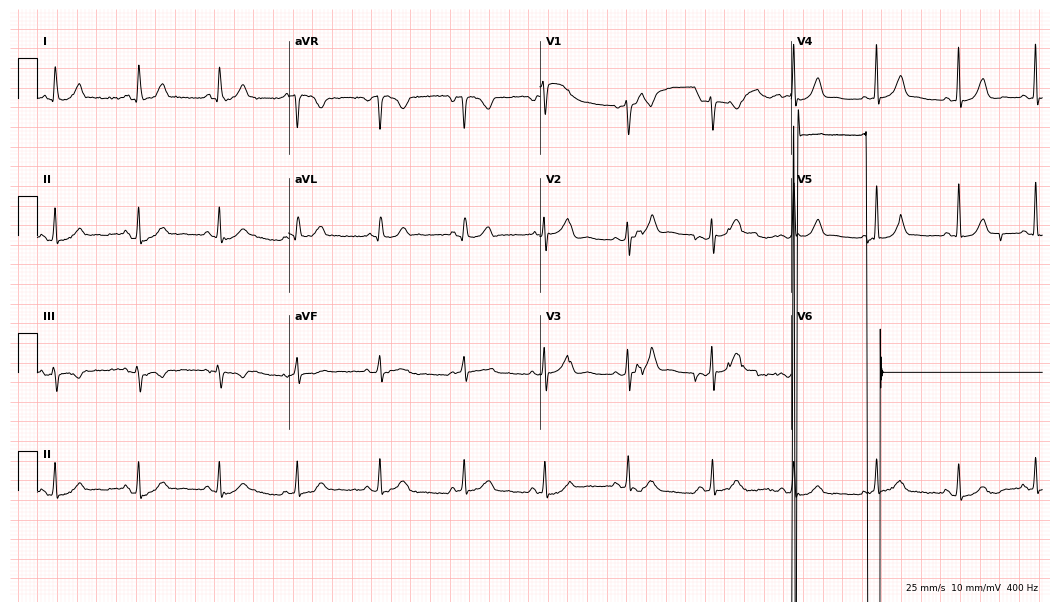
12-lead ECG from a female patient, 40 years old. No first-degree AV block, right bundle branch block, left bundle branch block, sinus bradycardia, atrial fibrillation or sinus tachycardia recorded for this tracing.